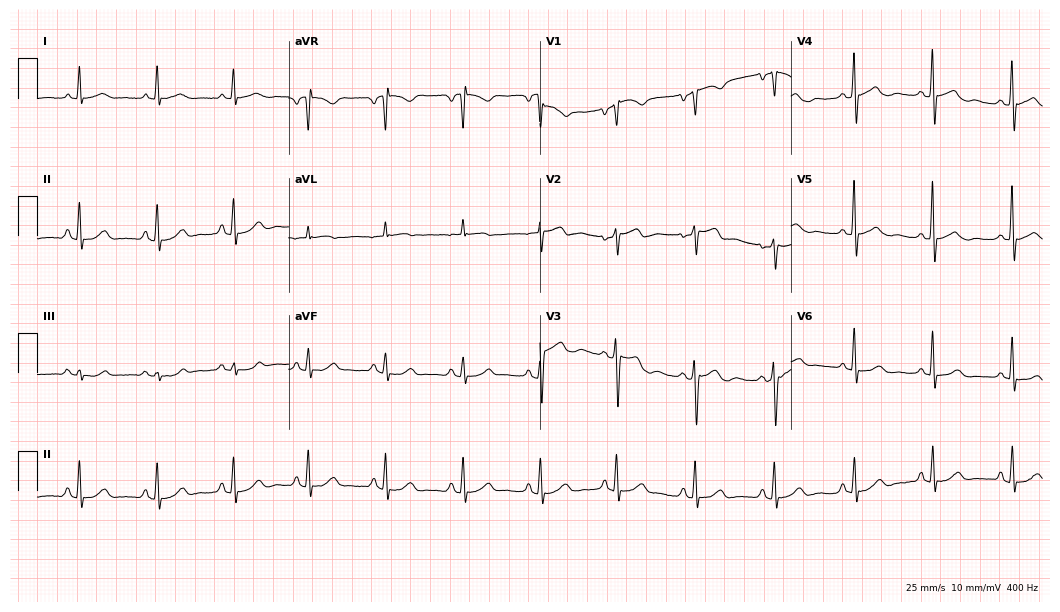
12-lead ECG from a female patient, 63 years old (10.2-second recording at 400 Hz). Recorded interpretation: within normal limits.